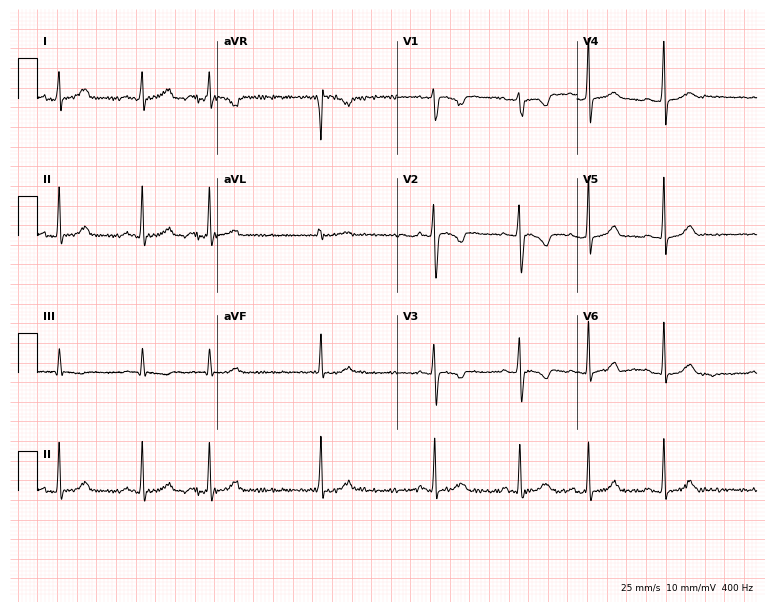
Resting 12-lead electrocardiogram (7.3-second recording at 400 Hz). Patient: a woman, 21 years old. Read as a normal ECG.